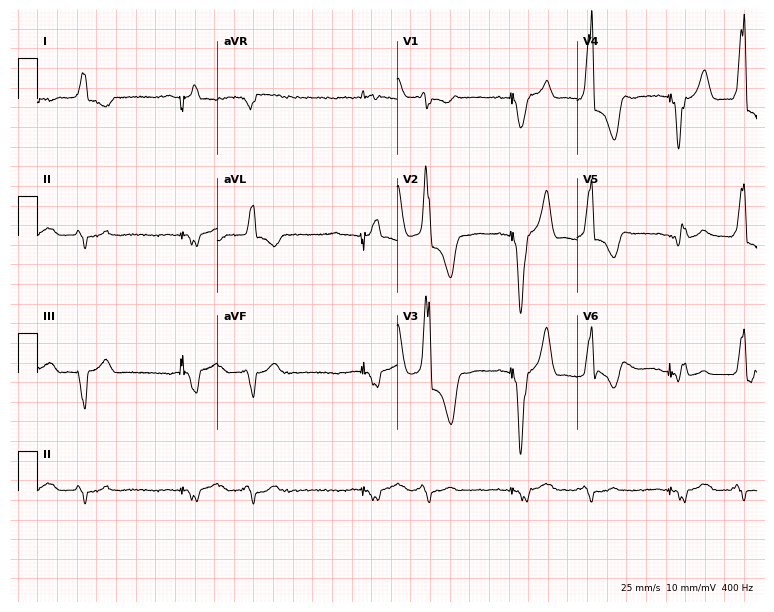
ECG (7.3-second recording at 400 Hz) — a 69-year-old male. Screened for six findings — first-degree AV block, right bundle branch block, left bundle branch block, sinus bradycardia, atrial fibrillation, sinus tachycardia — none is recorded. Findings outside these six are not listed.